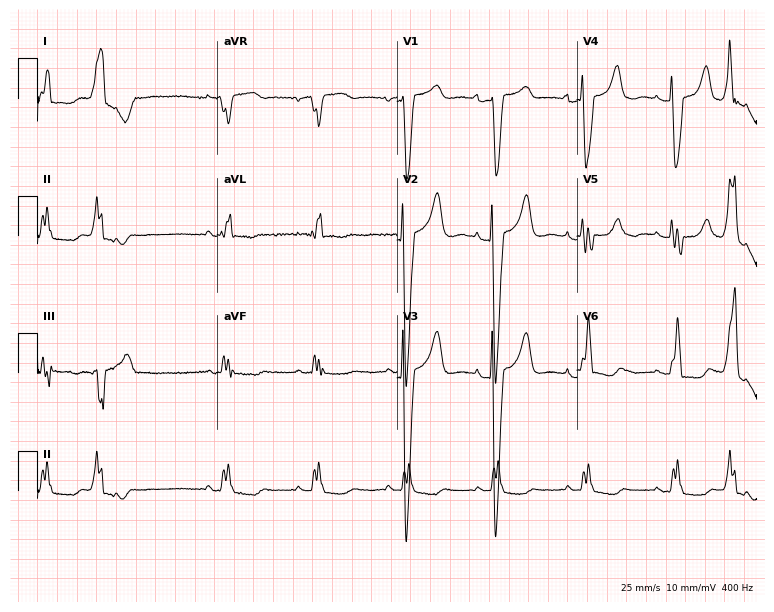
Resting 12-lead electrocardiogram (7.3-second recording at 400 Hz). Patient: a woman, 67 years old. The tracing shows left bundle branch block.